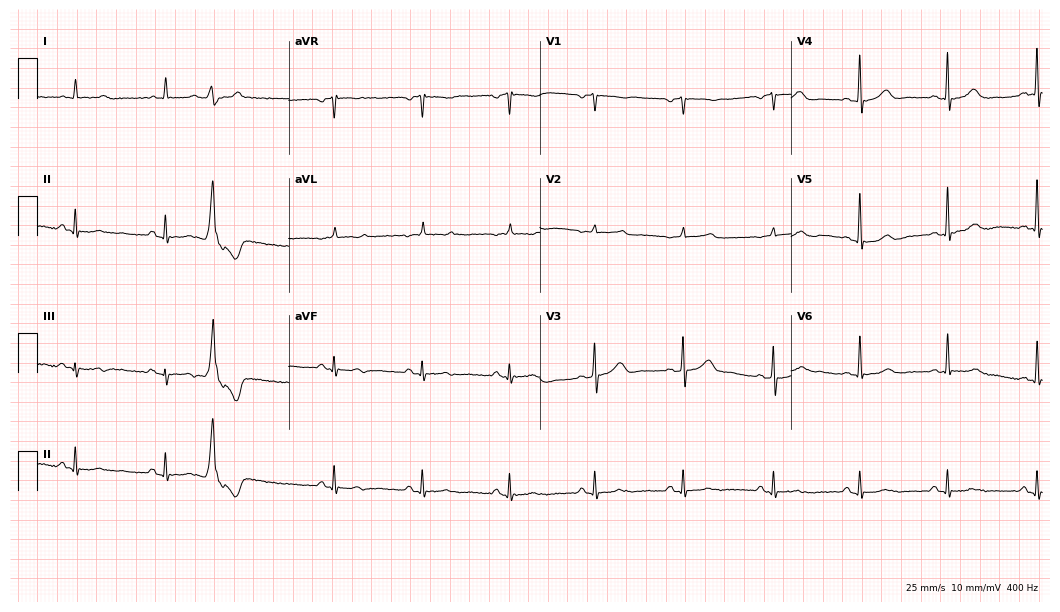
12-lead ECG from a male, 83 years old (10.2-second recording at 400 Hz). No first-degree AV block, right bundle branch block, left bundle branch block, sinus bradycardia, atrial fibrillation or sinus tachycardia recorded for this tracing. Findings outside these six are not listed.